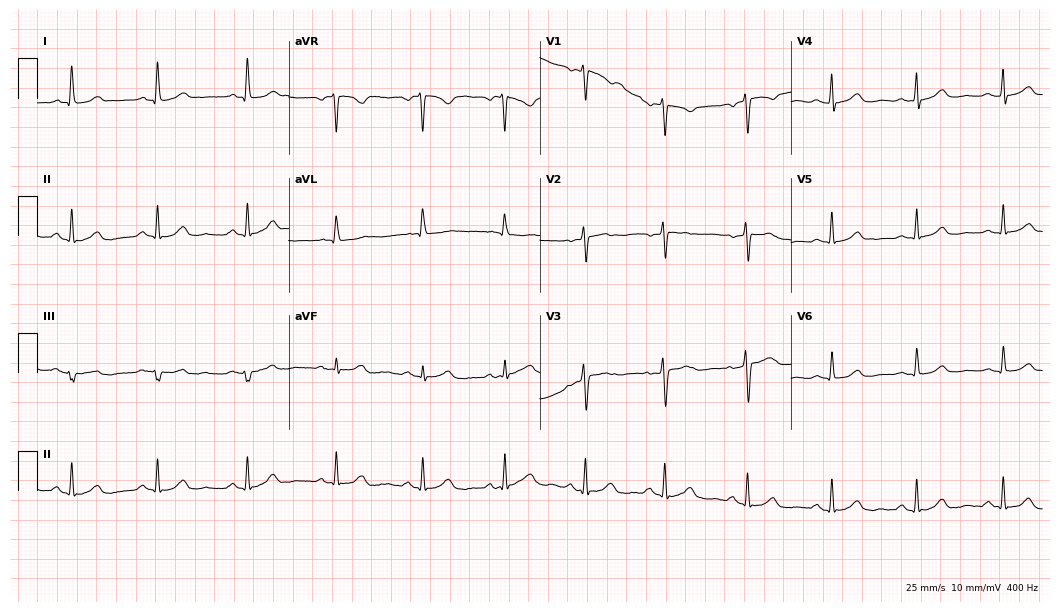
Electrocardiogram (10.2-second recording at 400 Hz), a 52-year-old woman. Overall reading on record: normal ECG.